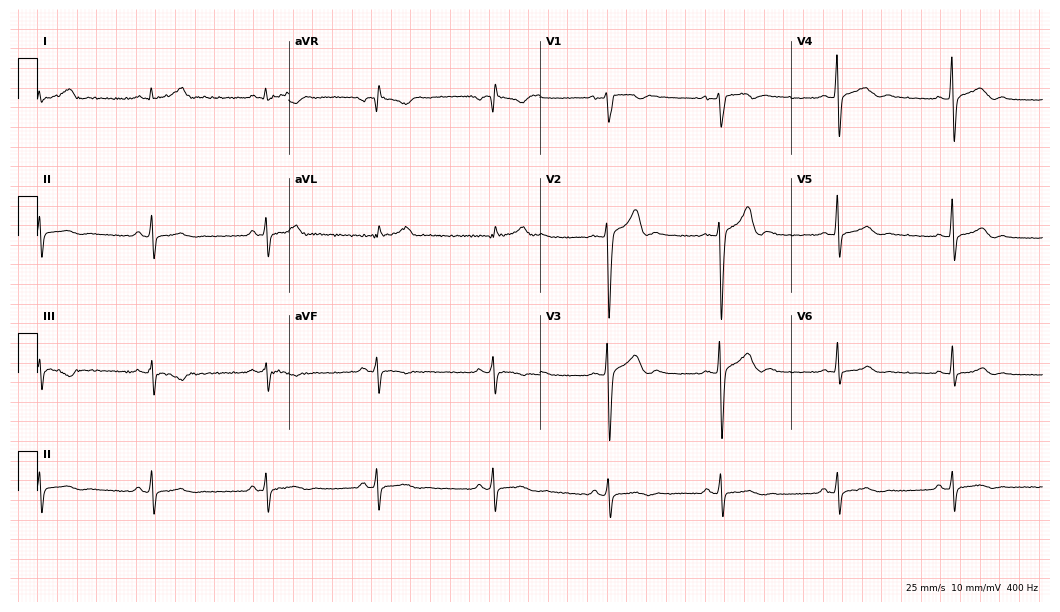
Standard 12-lead ECG recorded from a male patient, 36 years old (10.2-second recording at 400 Hz). None of these six findings is recorded: first-degree AV block, right bundle branch block, left bundle branch block, sinus bradycardia, atrial fibrillation, sinus tachycardia. Findings outside these six are not listed.